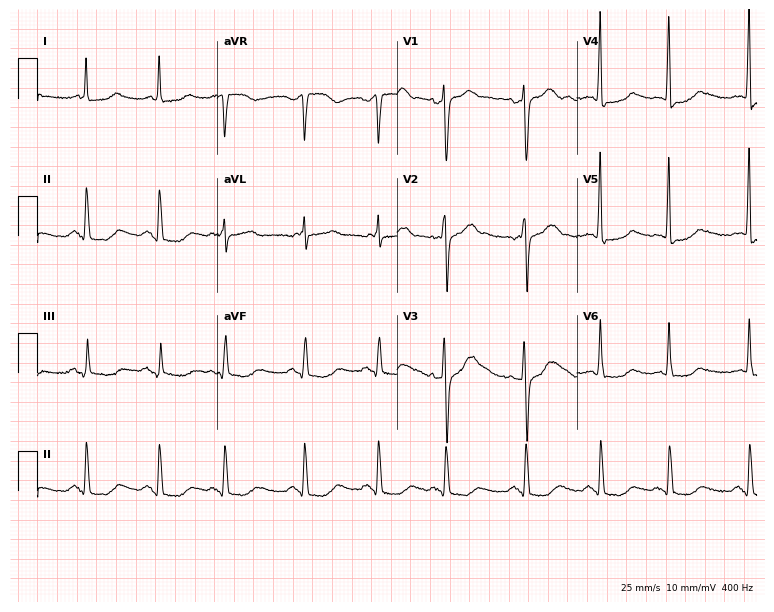
12-lead ECG (7.3-second recording at 400 Hz) from a man, 71 years old. Labelled as a normal ECG.